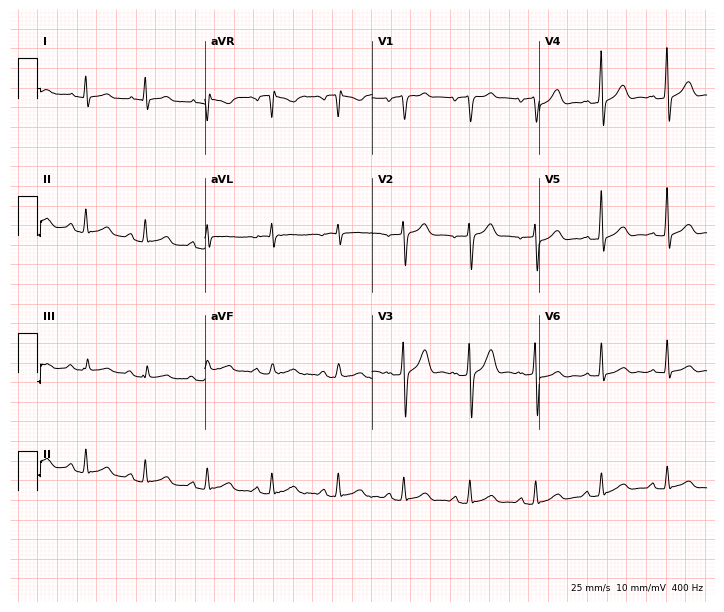
Resting 12-lead electrocardiogram (6.8-second recording at 400 Hz). Patient: a 58-year-old man. None of these six findings is recorded: first-degree AV block, right bundle branch block, left bundle branch block, sinus bradycardia, atrial fibrillation, sinus tachycardia.